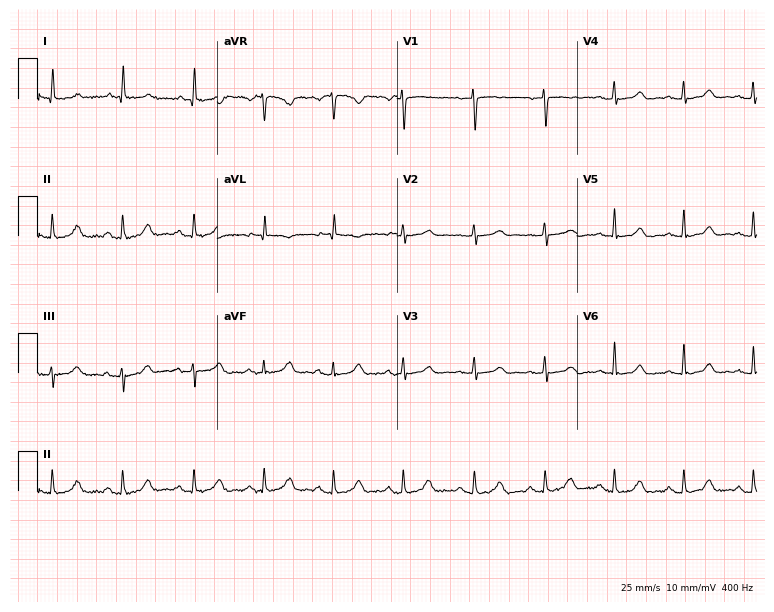
ECG — a 56-year-old female patient. Labelled as a normal ECG.